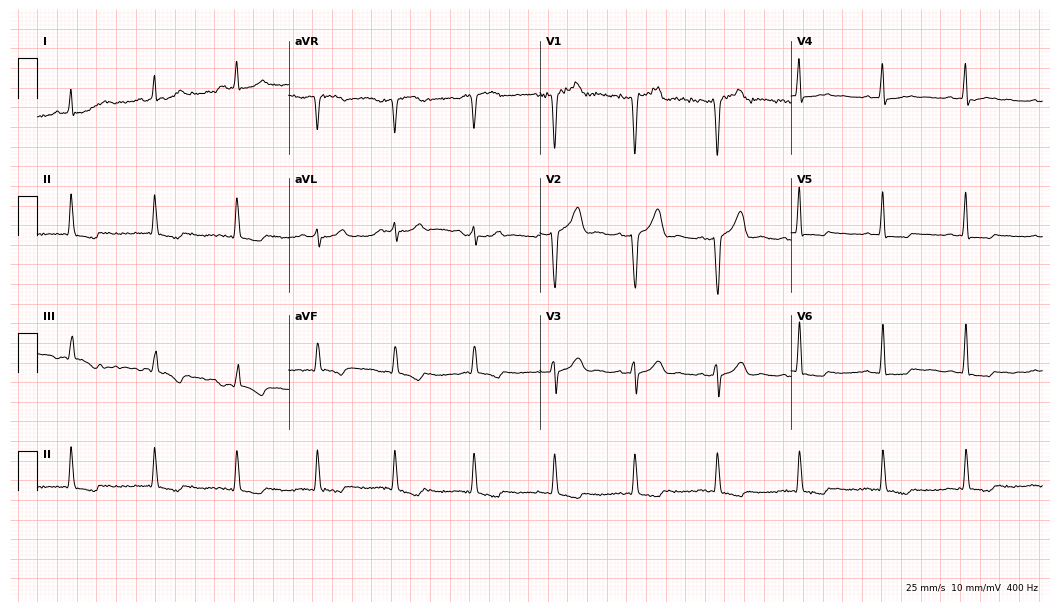
Electrocardiogram (10.2-second recording at 400 Hz), a man, 78 years old. Overall reading on record: normal ECG.